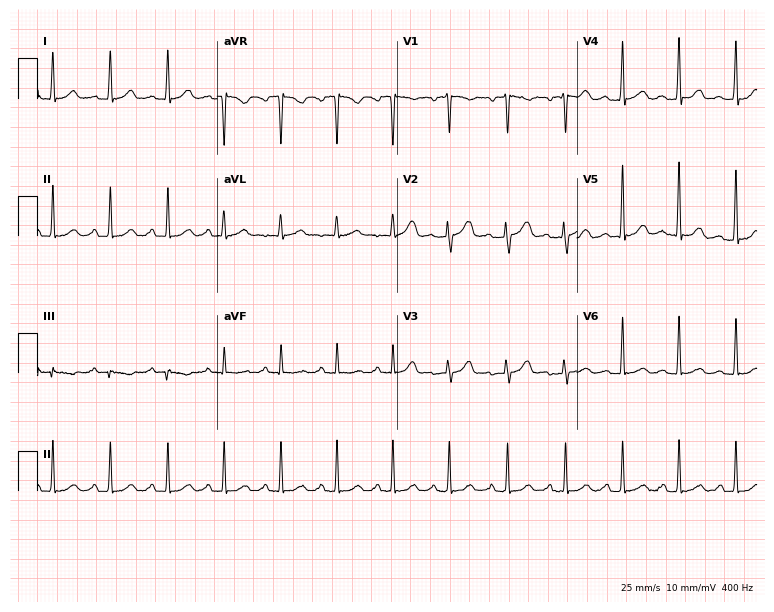
12-lead ECG from a 45-year-old female patient. Shows sinus tachycardia (a sinus rate of 100 beats per minute or more).